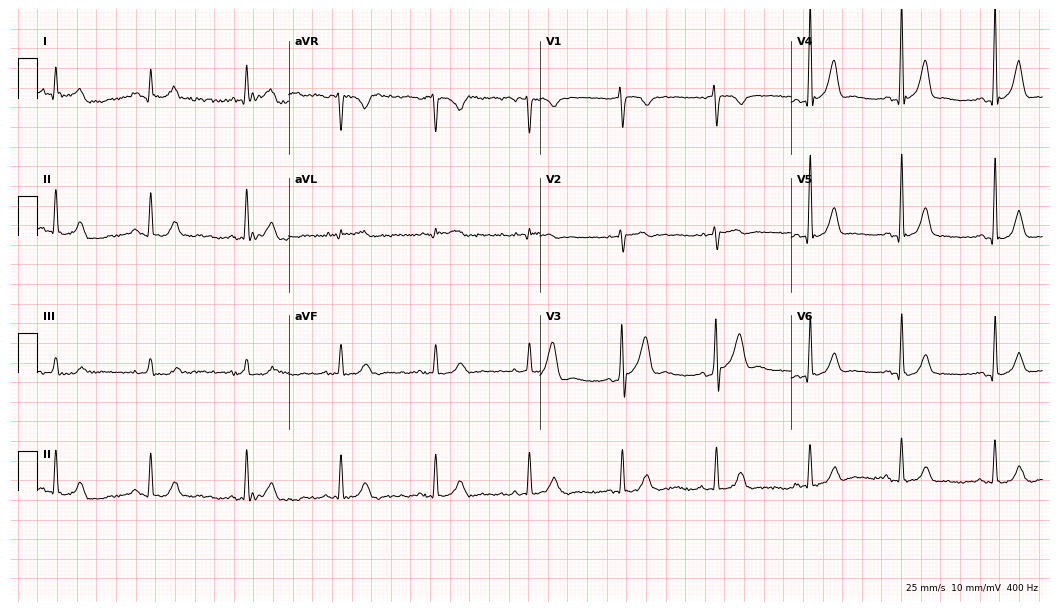
Standard 12-lead ECG recorded from a man, 63 years old (10.2-second recording at 400 Hz). Read as a normal ECG.